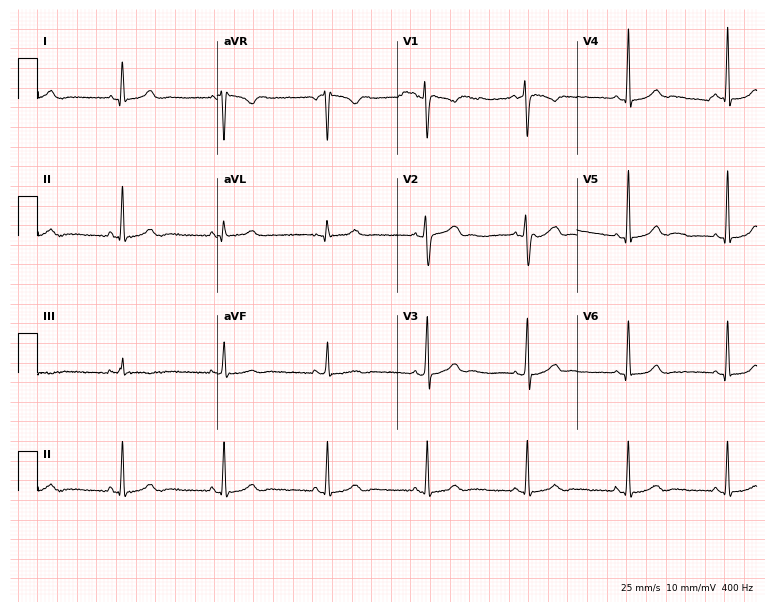
Resting 12-lead electrocardiogram (7.3-second recording at 400 Hz). Patient: a female, 23 years old. Read as a normal ECG.